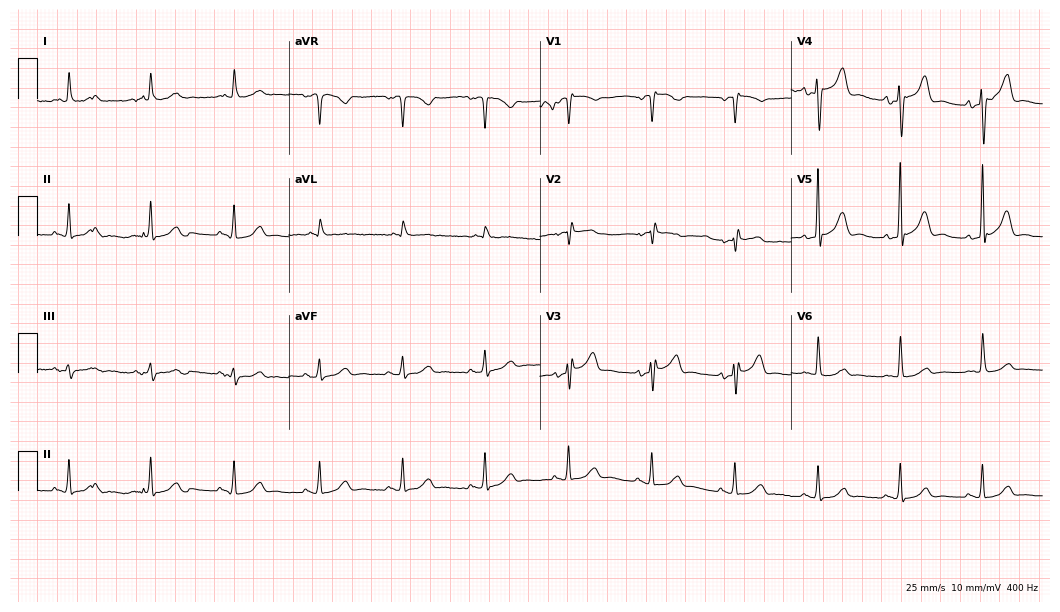
12-lead ECG (10.2-second recording at 400 Hz) from a 62-year-old male patient. Labelled as a normal ECG.